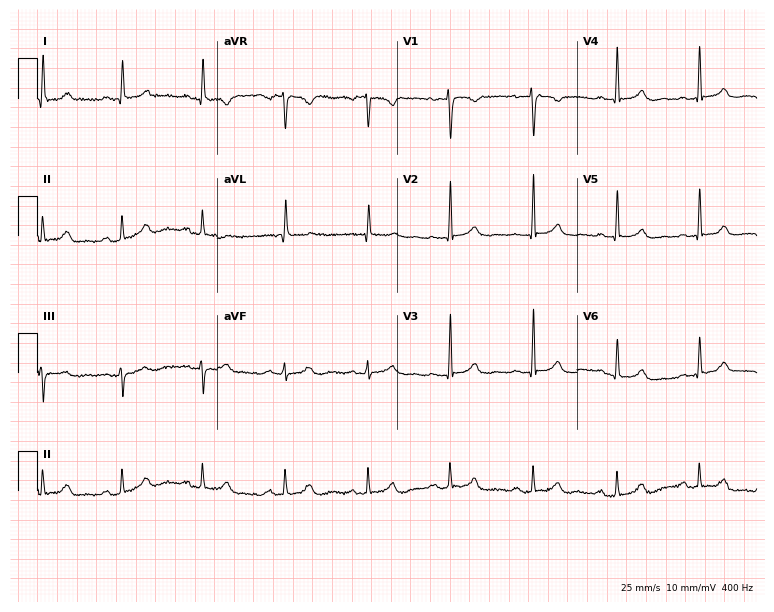
Electrocardiogram, a woman, 48 years old. Of the six screened findings (first-degree AV block, right bundle branch block, left bundle branch block, sinus bradycardia, atrial fibrillation, sinus tachycardia), none is recorded. Only these six findings were labelled.